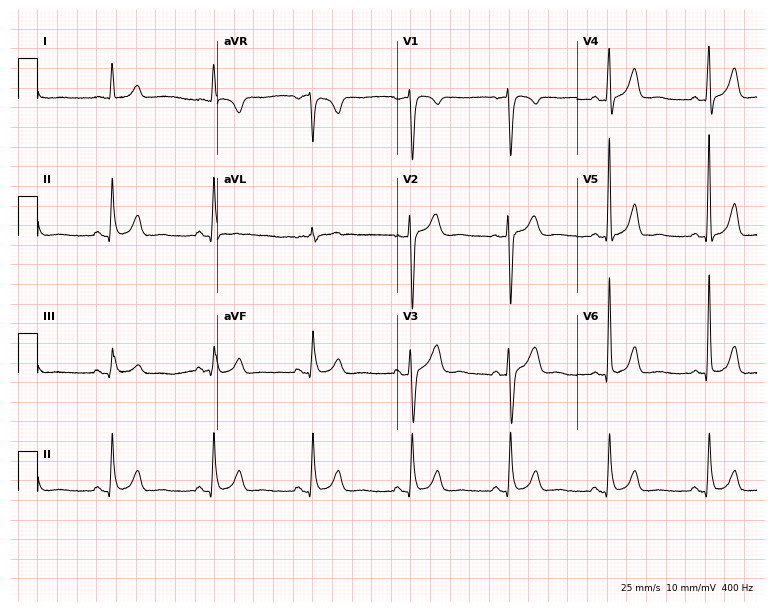
Resting 12-lead electrocardiogram. Patient: a 49-year-old male. Read as a normal ECG.